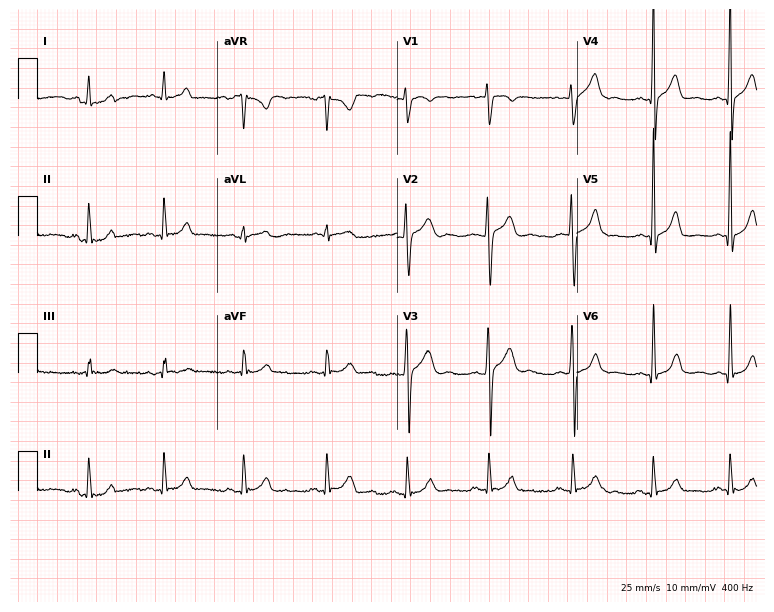
Standard 12-lead ECG recorded from a 25-year-old male (7.3-second recording at 400 Hz). Read as a normal ECG.